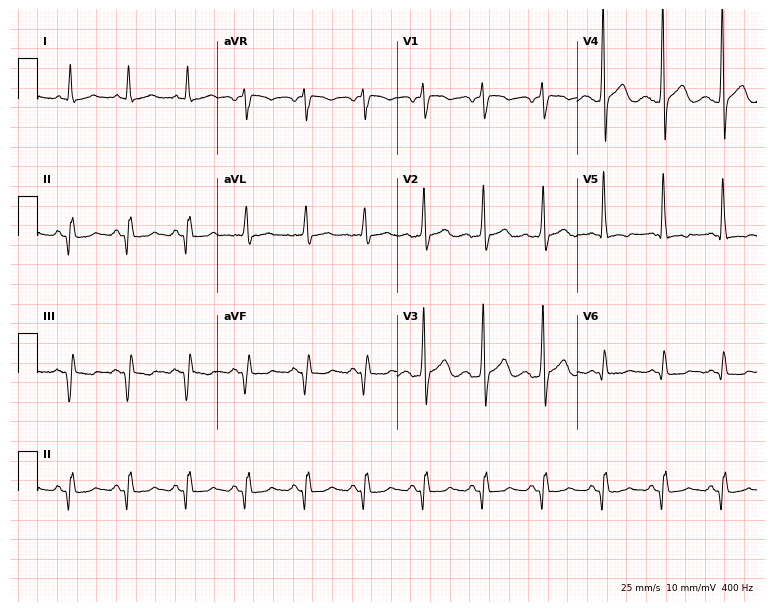
12-lead ECG from a 42-year-old male. Screened for six findings — first-degree AV block, right bundle branch block, left bundle branch block, sinus bradycardia, atrial fibrillation, sinus tachycardia — none is recorded.